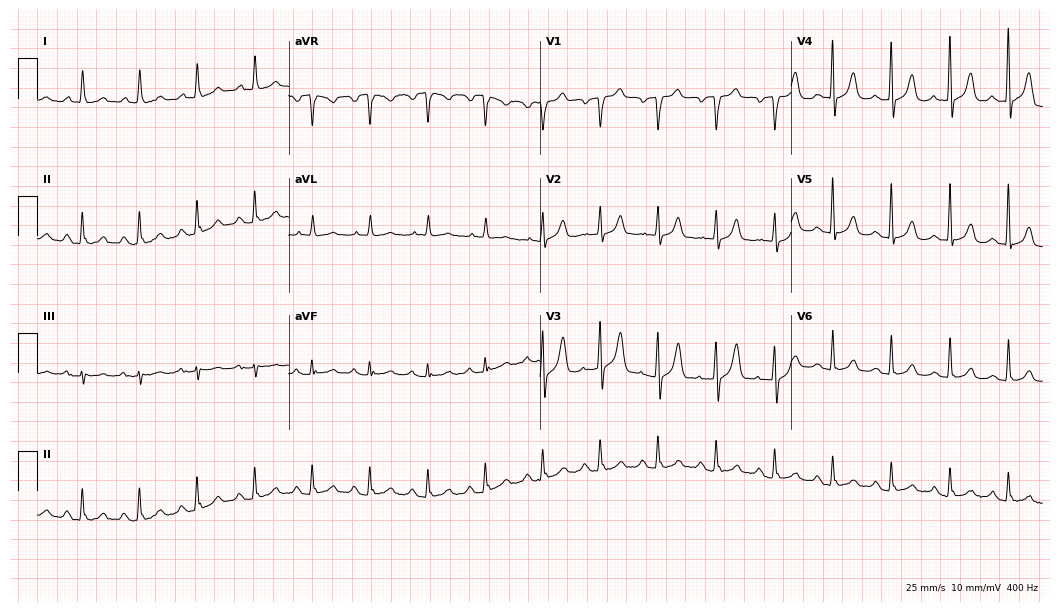
Resting 12-lead electrocardiogram (10.2-second recording at 400 Hz). Patient: a man, 79 years old. Read as a normal ECG.